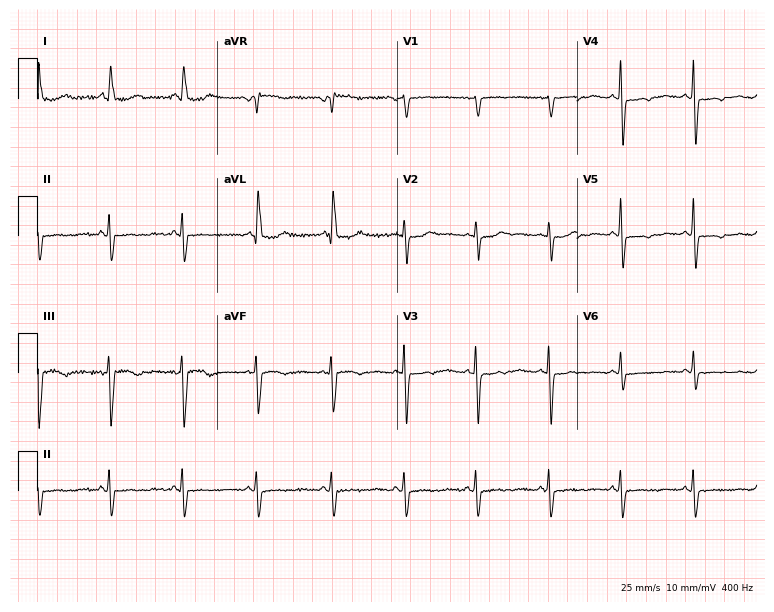
Electrocardiogram, a female, 62 years old. Of the six screened findings (first-degree AV block, right bundle branch block (RBBB), left bundle branch block (LBBB), sinus bradycardia, atrial fibrillation (AF), sinus tachycardia), none is recorded.